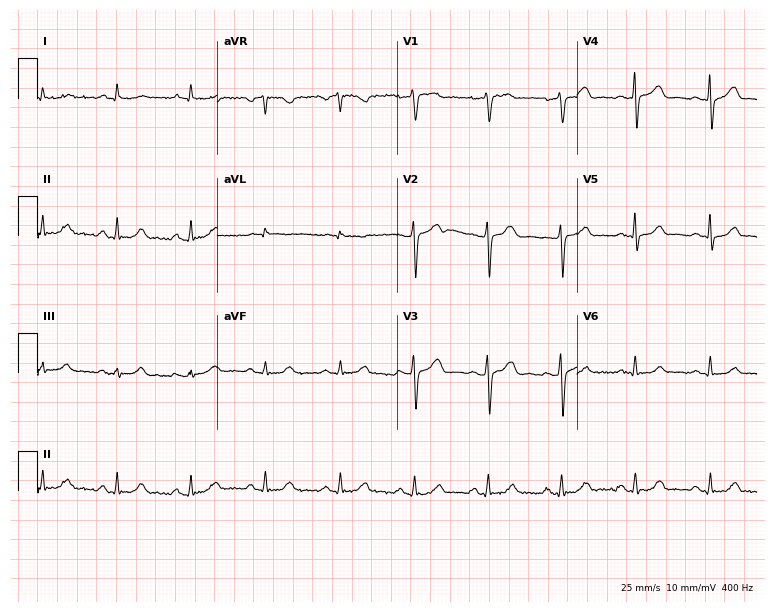
ECG (7.3-second recording at 400 Hz) — a 59-year-old male patient. Labelled as a normal ECG.